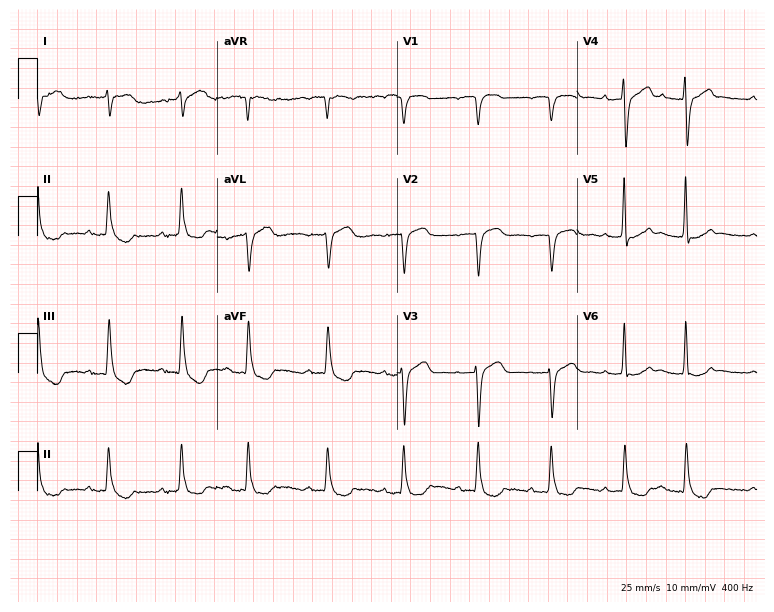
12-lead ECG from a male, 83 years old. No first-degree AV block, right bundle branch block (RBBB), left bundle branch block (LBBB), sinus bradycardia, atrial fibrillation (AF) or sinus tachycardia recorded for this tracing.